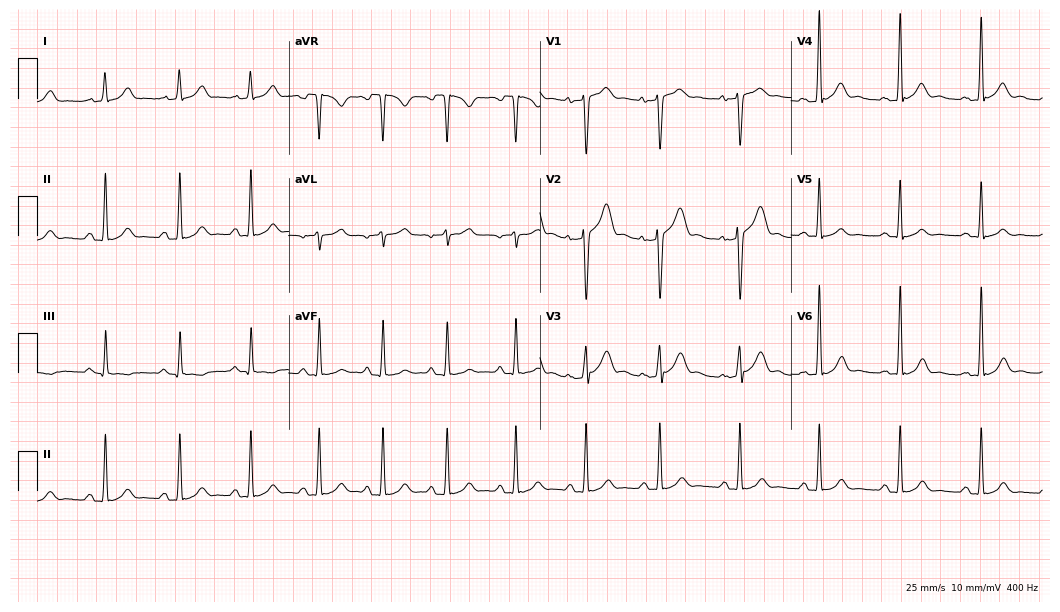
12-lead ECG from a 30-year-old man. Labelled as a normal ECG.